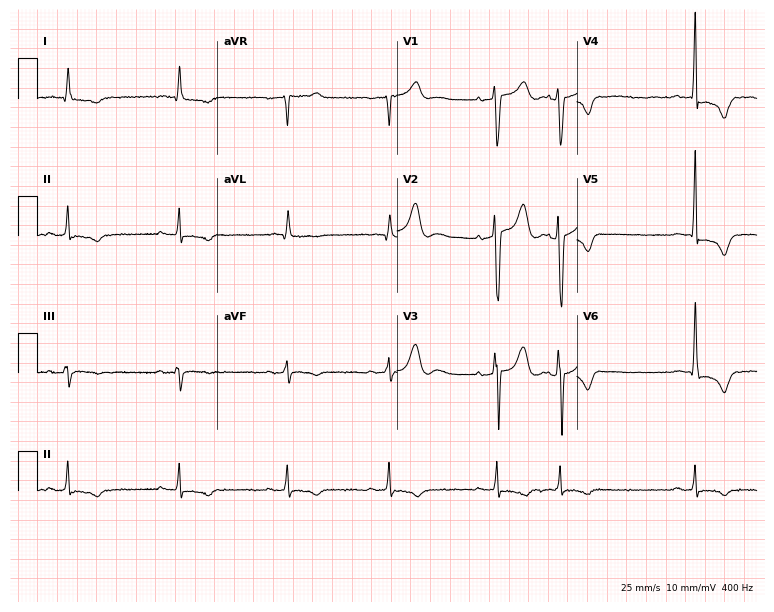
Resting 12-lead electrocardiogram (7.3-second recording at 400 Hz). Patient: a male, 82 years old. None of these six findings is recorded: first-degree AV block, right bundle branch block (RBBB), left bundle branch block (LBBB), sinus bradycardia, atrial fibrillation (AF), sinus tachycardia. Only these six findings were labelled.